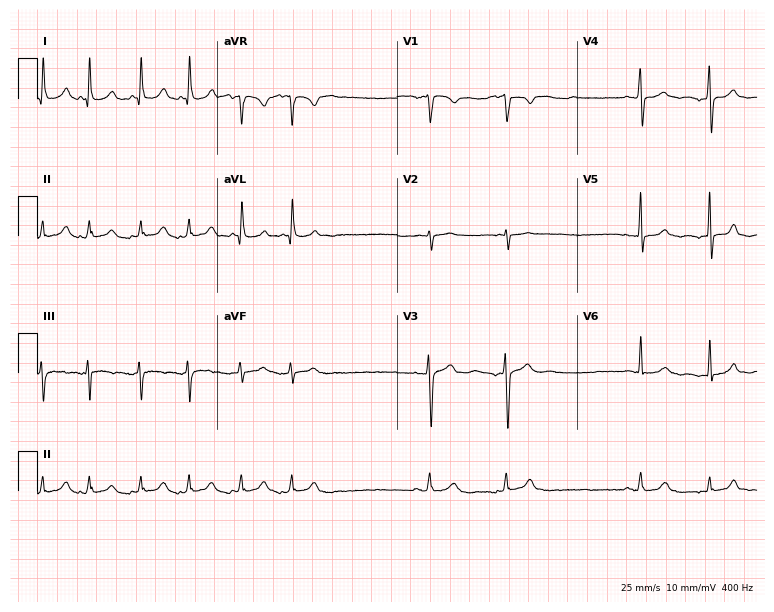
Electrocardiogram, a woman, 55 years old. Of the six screened findings (first-degree AV block, right bundle branch block, left bundle branch block, sinus bradycardia, atrial fibrillation, sinus tachycardia), none is recorded. Findings outside these six are not listed.